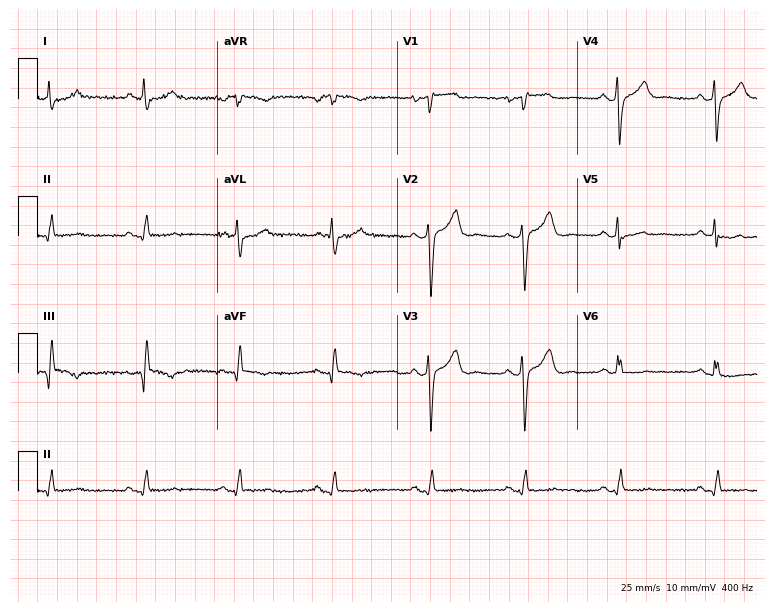
Resting 12-lead electrocardiogram. Patient: a 54-year-old man. None of these six findings is recorded: first-degree AV block, right bundle branch block, left bundle branch block, sinus bradycardia, atrial fibrillation, sinus tachycardia.